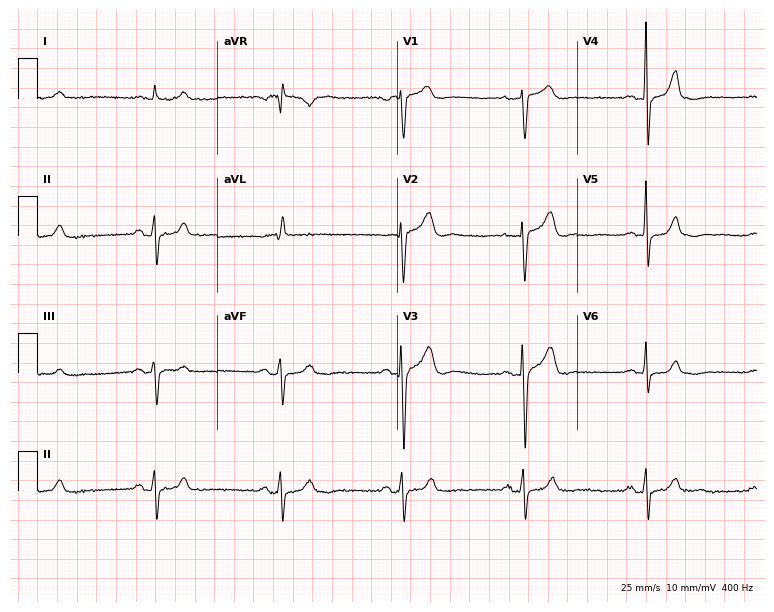
12-lead ECG (7.3-second recording at 400 Hz) from a 63-year-old male. Screened for six findings — first-degree AV block, right bundle branch block, left bundle branch block, sinus bradycardia, atrial fibrillation, sinus tachycardia — none is recorded.